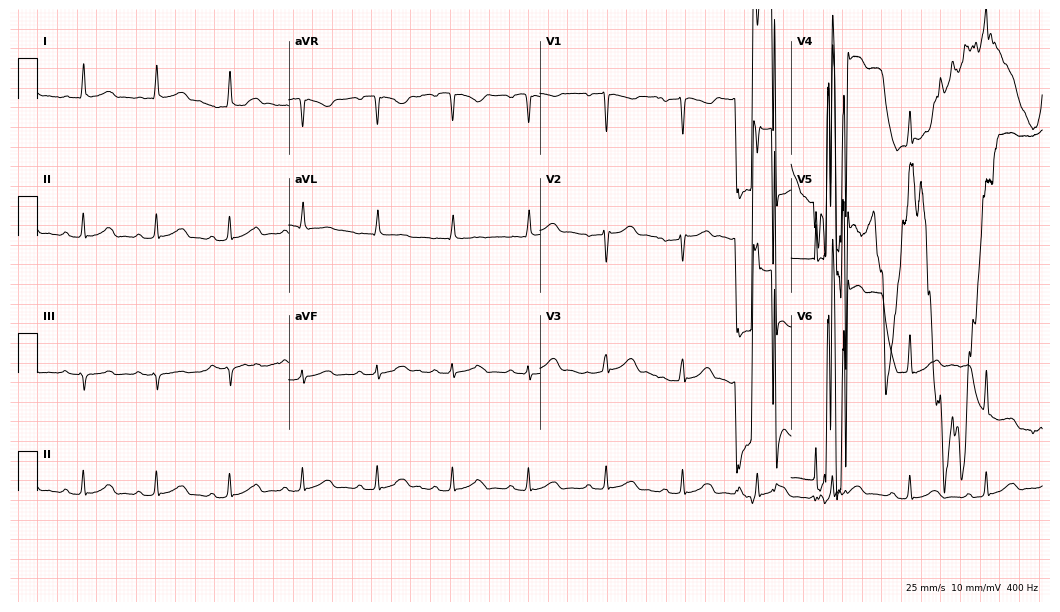
12-lead ECG from a 30-year-old man (10.2-second recording at 400 Hz). No first-degree AV block, right bundle branch block (RBBB), left bundle branch block (LBBB), sinus bradycardia, atrial fibrillation (AF) or sinus tachycardia recorded for this tracing. Other findings, if any, are not listed.